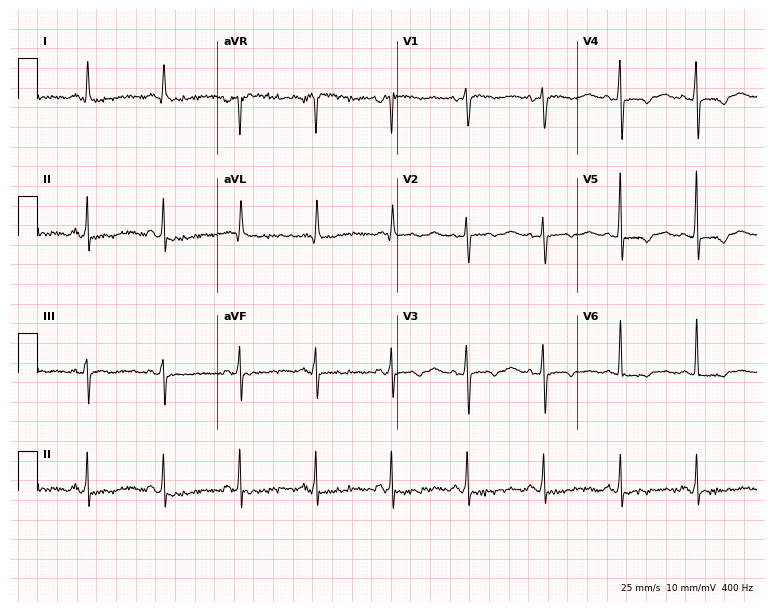
ECG (7.3-second recording at 400 Hz) — a 72-year-old female. Screened for six findings — first-degree AV block, right bundle branch block, left bundle branch block, sinus bradycardia, atrial fibrillation, sinus tachycardia — none is recorded. Other findings, if any, are not listed.